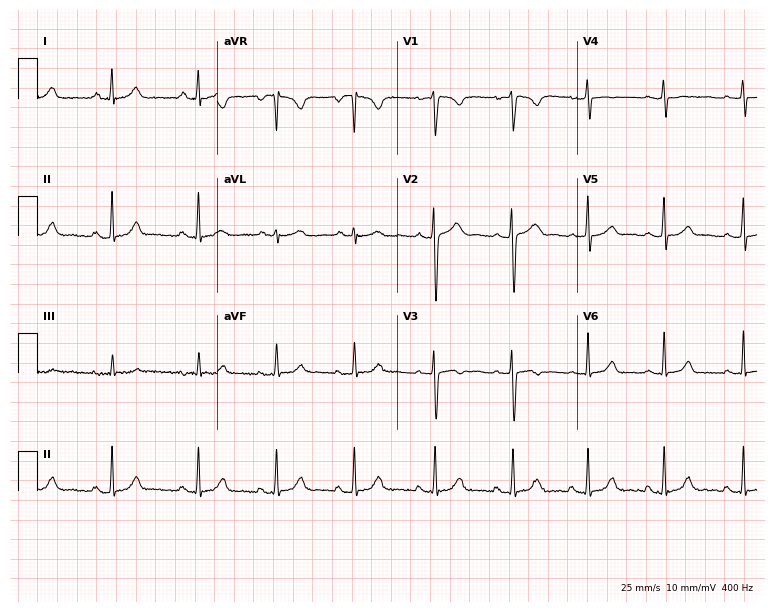
ECG — a 26-year-old female. Labelled as a normal ECG.